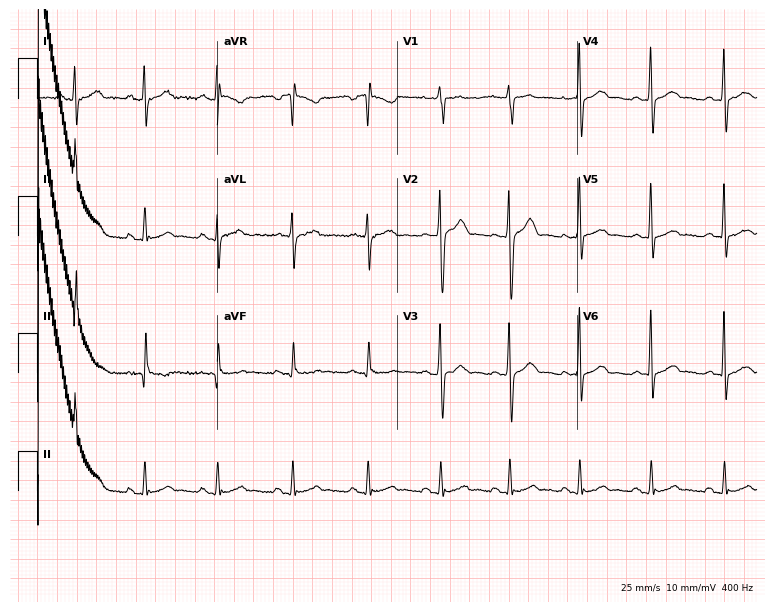
12-lead ECG from a 35-year-old male. Recorded interpretation: within normal limits.